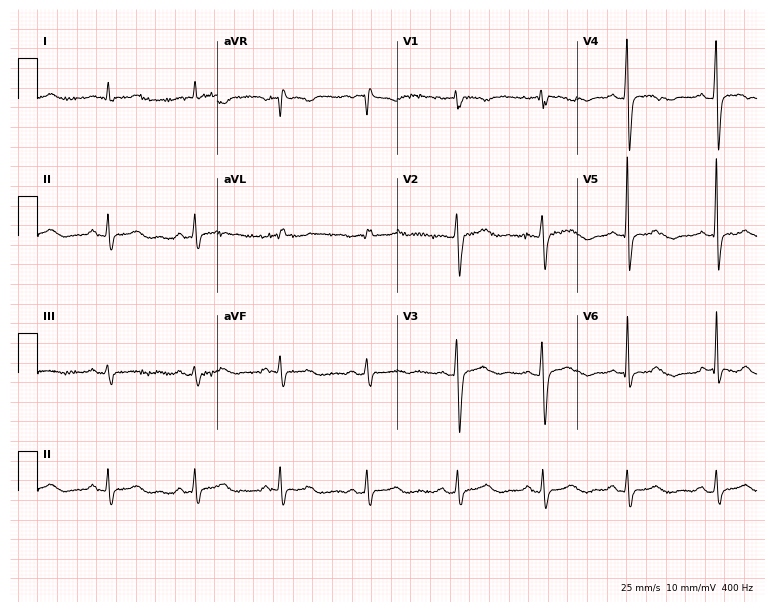
Electrocardiogram (7.3-second recording at 400 Hz), a woman, 25 years old. Overall reading on record: normal ECG.